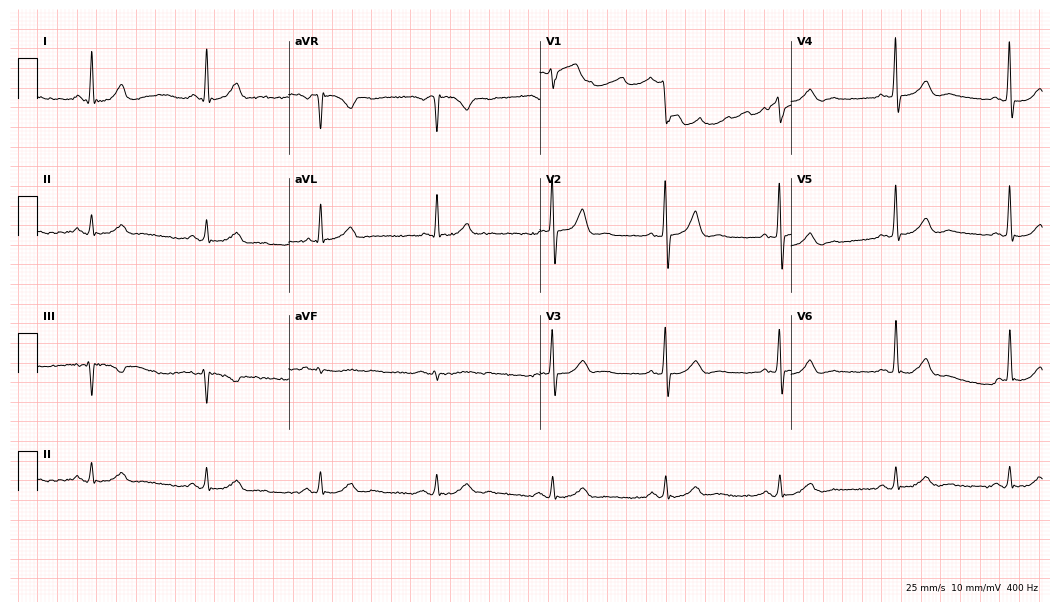
12-lead ECG from a male patient, 62 years old. Screened for six findings — first-degree AV block, right bundle branch block, left bundle branch block, sinus bradycardia, atrial fibrillation, sinus tachycardia — none is recorded.